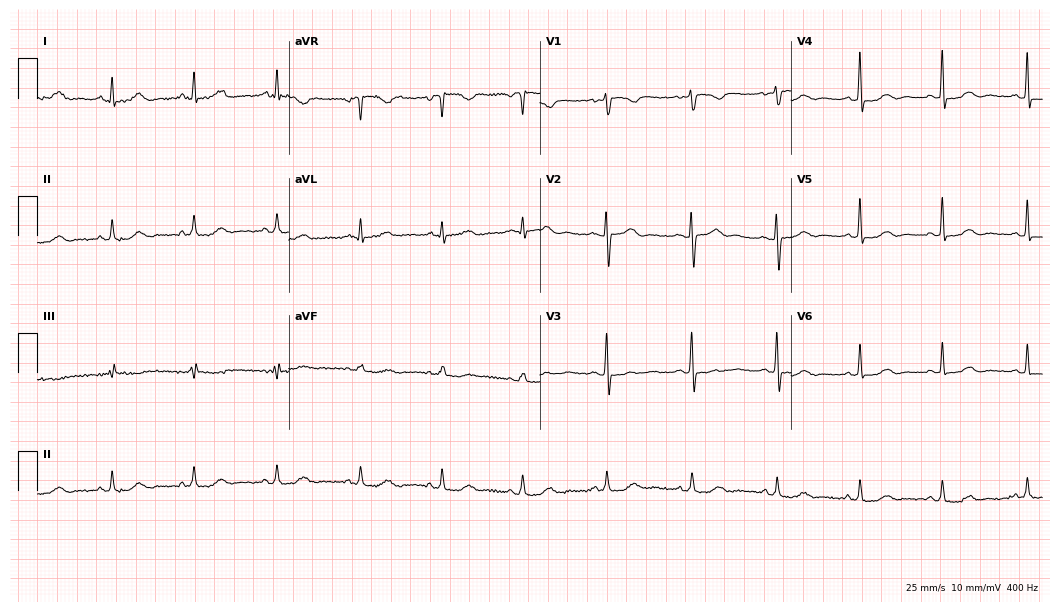
12-lead ECG from a female, 57 years old. No first-degree AV block, right bundle branch block, left bundle branch block, sinus bradycardia, atrial fibrillation or sinus tachycardia recorded for this tracing.